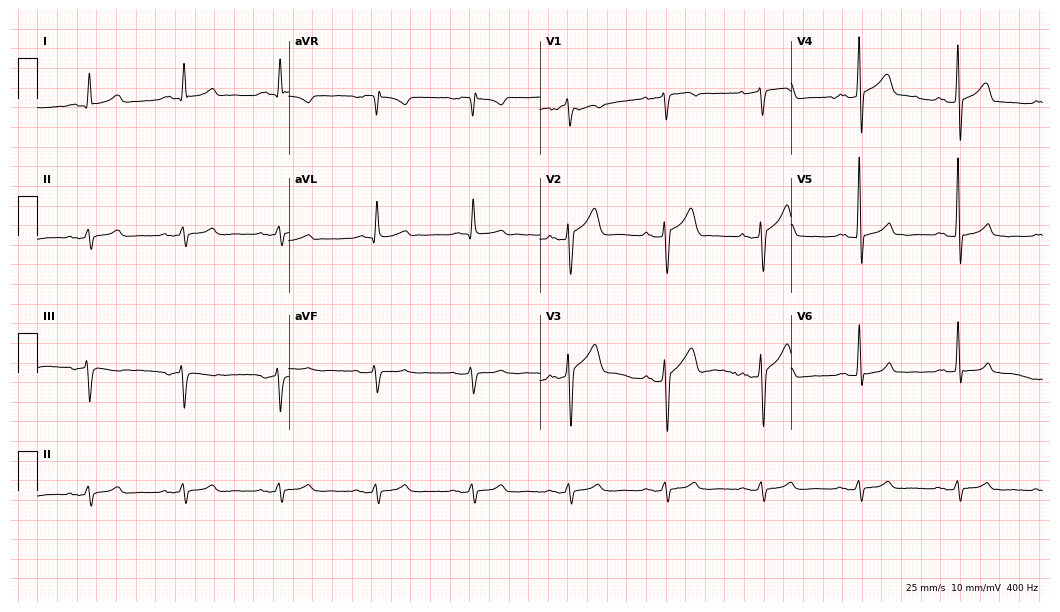
12-lead ECG (10.2-second recording at 400 Hz) from a 64-year-old male patient. Screened for six findings — first-degree AV block, right bundle branch block (RBBB), left bundle branch block (LBBB), sinus bradycardia, atrial fibrillation (AF), sinus tachycardia — none is recorded.